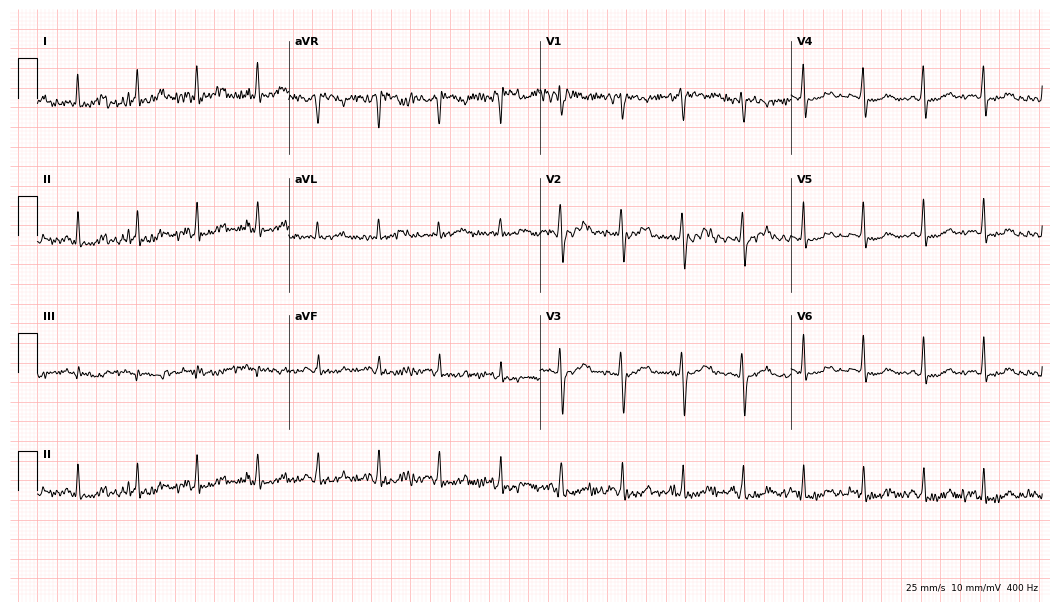
Electrocardiogram (10.2-second recording at 400 Hz), a female patient, 44 years old. Overall reading on record: normal ECG.